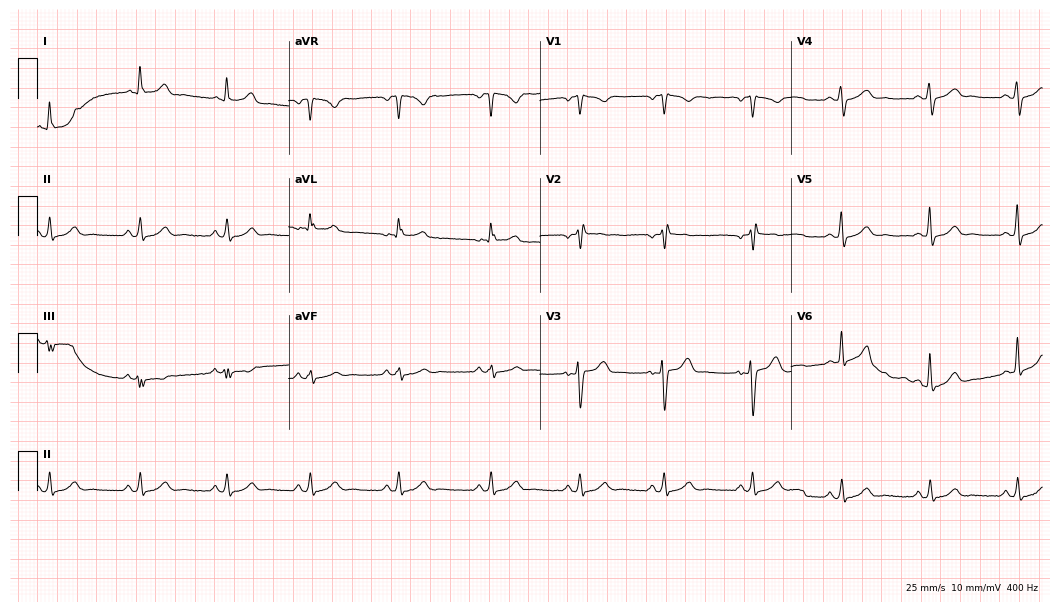
12-lead ECG from a female patient, 36 years old (10.2-second recording at 400 Hz). Recorded interpretation: within normal limits.